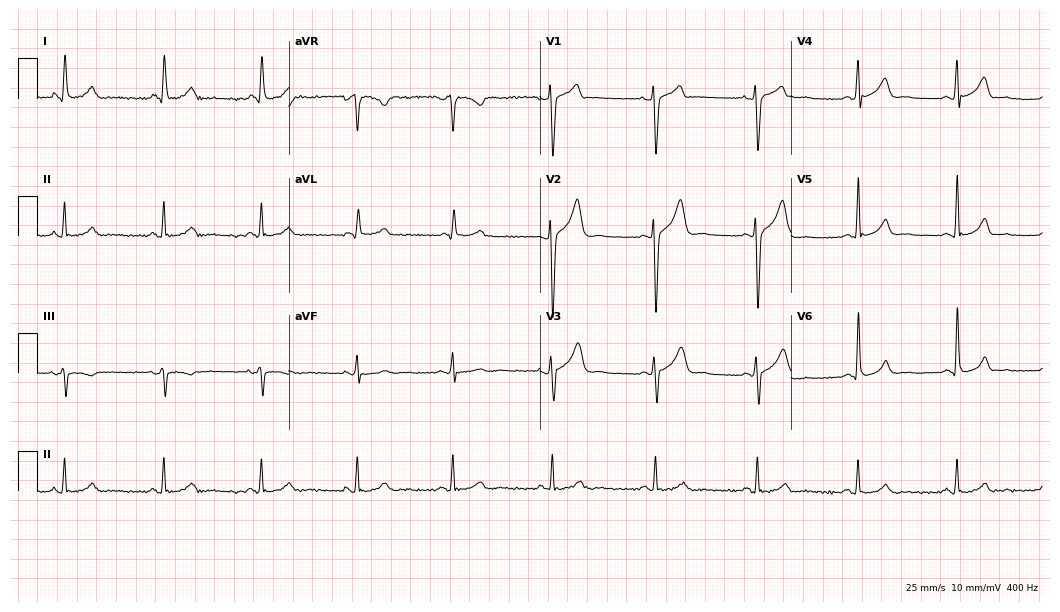
12-lead ECG from a man, 44 years old. No first-degree AV block, right bundle branch block, left bundle branch block, sinus bradycardia, atrial fibrillation or sinus tachycardia recorded for this tracing. Findings outside these six are not listed.